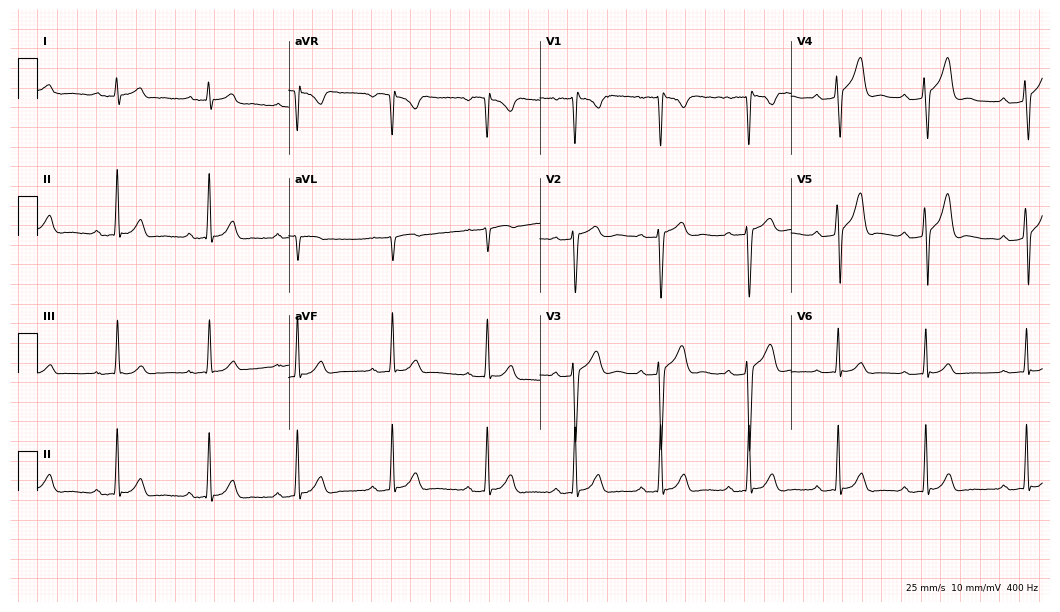
12-lead ECG from a 24-year-old male. Labelled as a normal ECG.